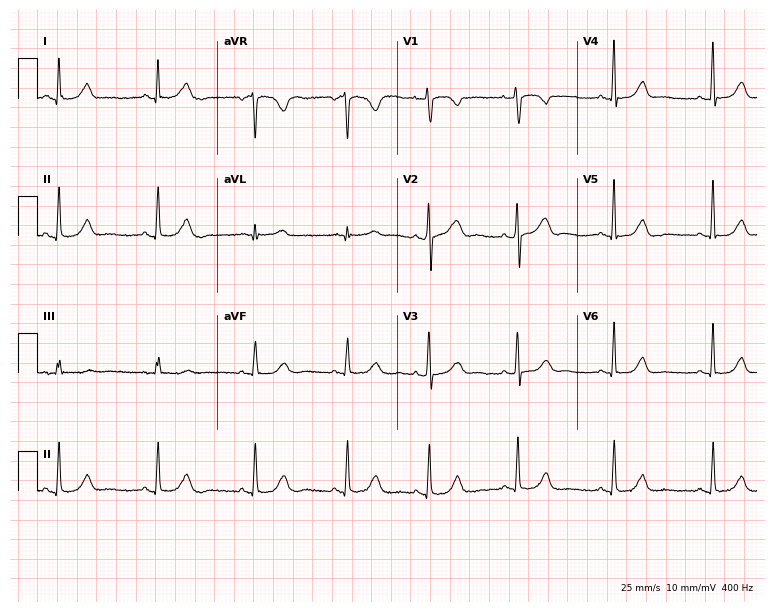
12-lead ECG from a 52-year-old woman. Labelled as a normal ECG.